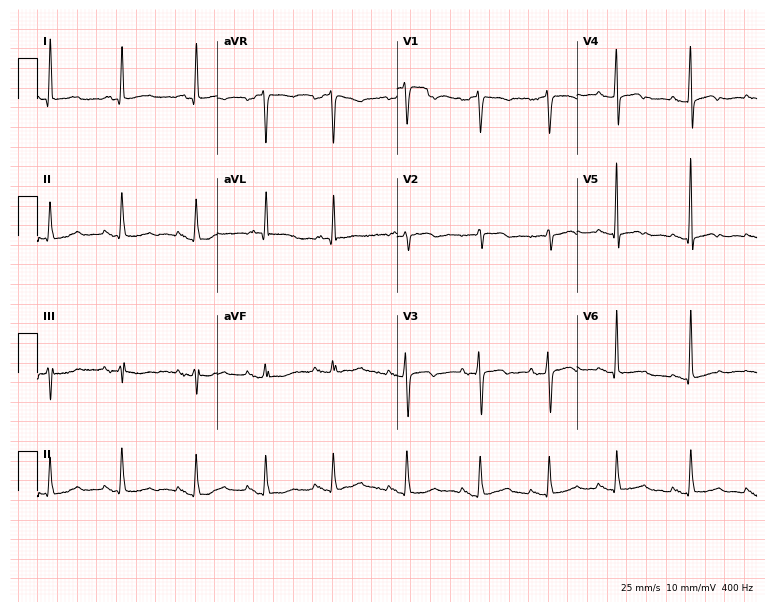
12-lead ECG from a woman, 78 years old. Screened for six findings — first-degree AV block, right bundle branch block (RBBB), left bundle branch block (LBBB), sinus bradycardia, atrial fibrillation (AF), sinus tachycardia — none is recorded. Other findings, if any, are not listed.